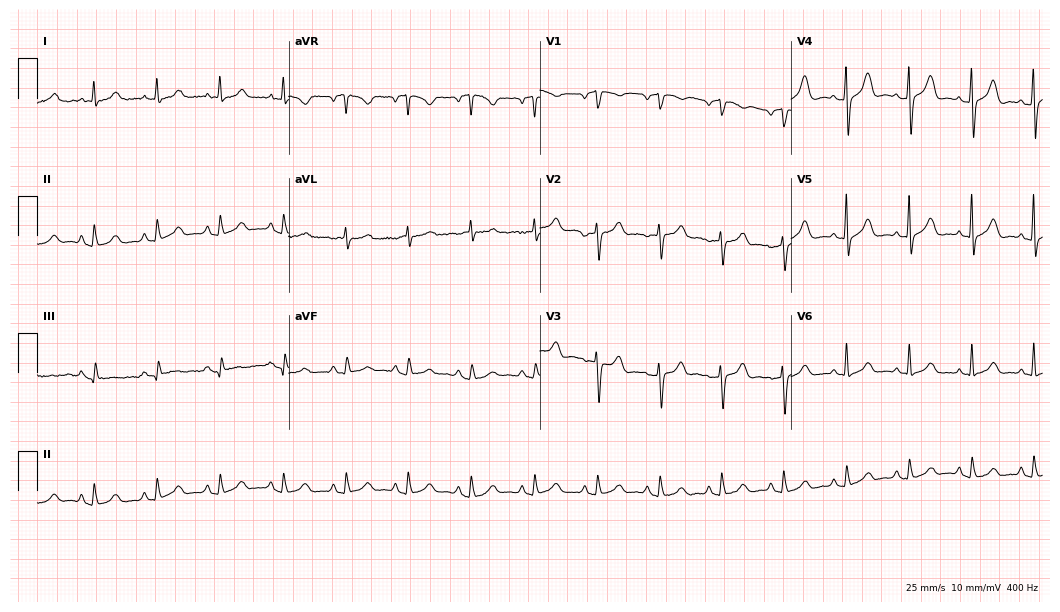
Electrocardiogram, a female patient, 85 years old. Overall reading on record: normal ECG.